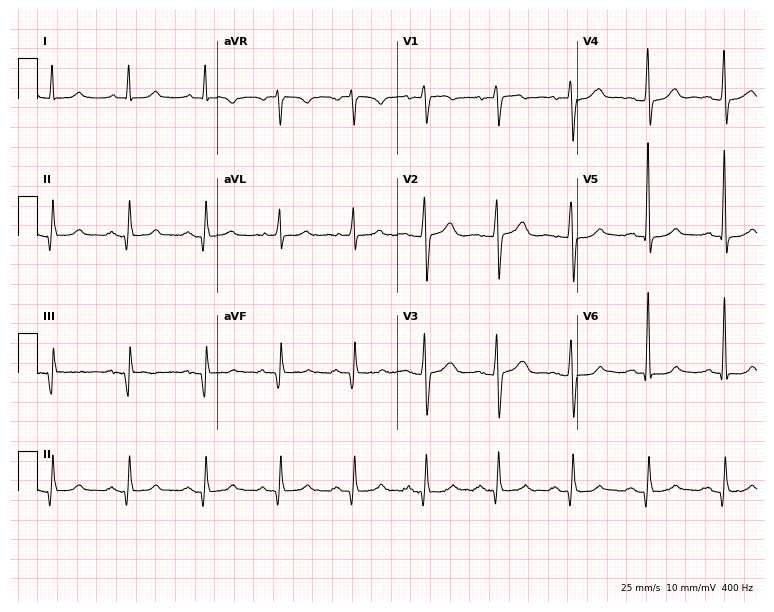
Electrocardiogram, a female, 61 years old. Of the six screened findings (first-degree AV block, right bundle branch block, left bundle branch block, sinus bradycardia, atrial fibrillation, sinus tachycardia), none is recorded. Findings outside these six are not listed.